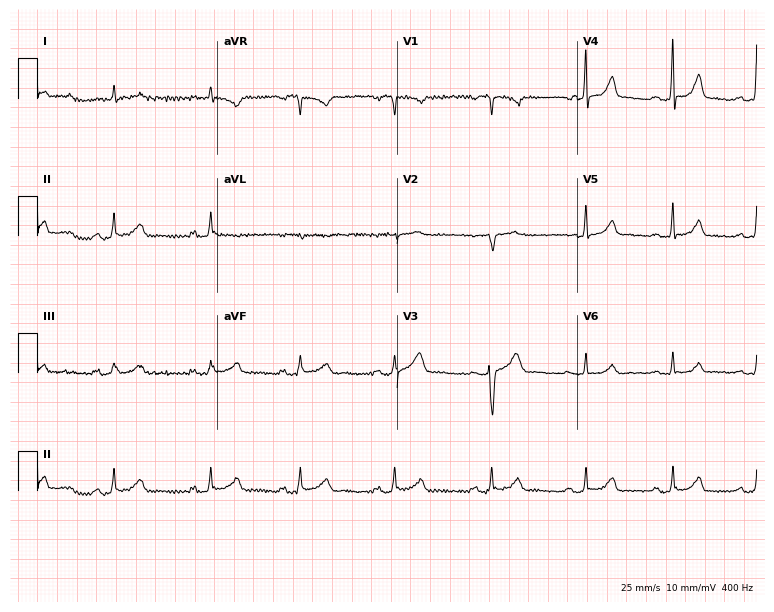
Electrocardiogram (7.3-second recording at 400 Hz), a 37-year-old woman. Overall reading on record: normal ECG.